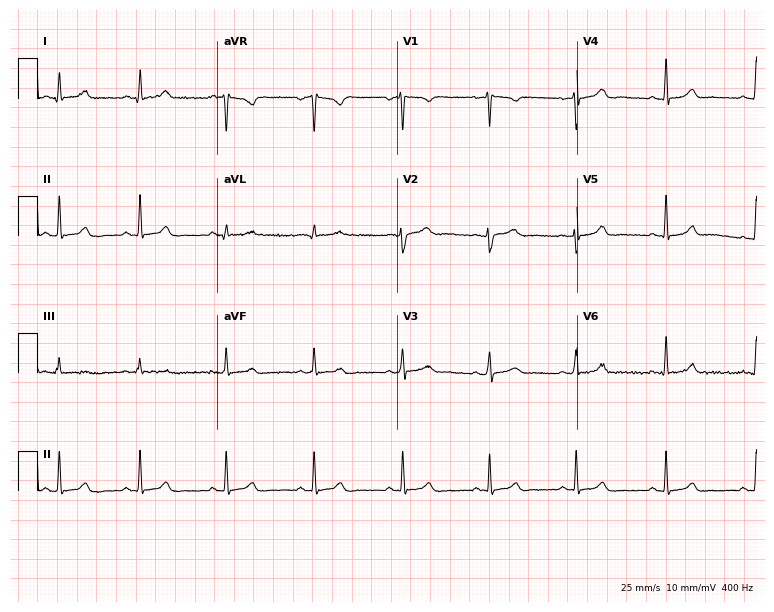
12-lead ECG from a female, 29 years old (7.3-second recording at 400 Hz). Recorded interpretation: within normal limits.